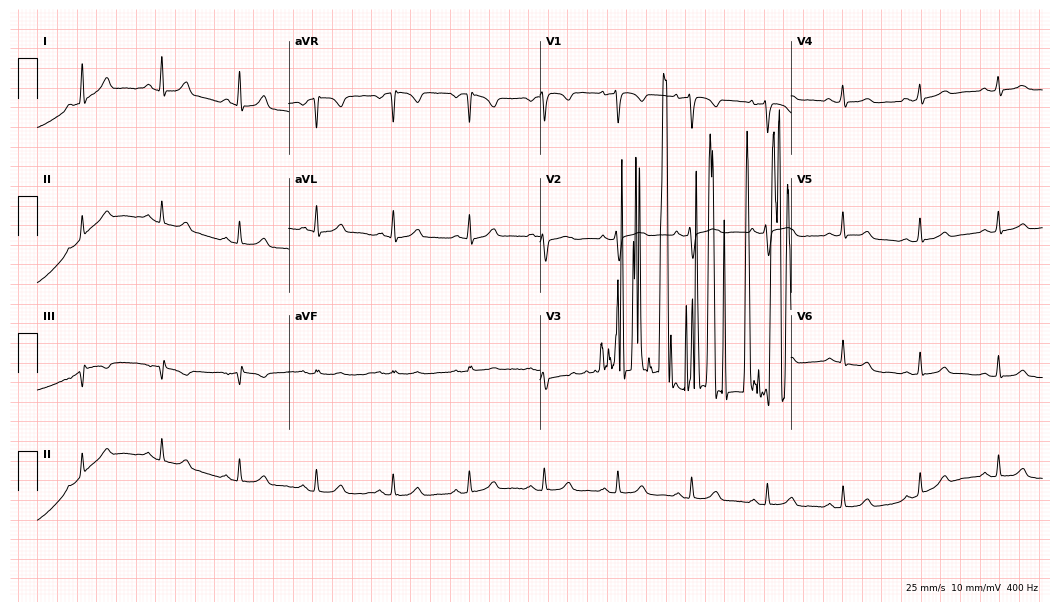
Resting 12-lead electrocardiogram (10.2-second recording at 400 Hz). Patient: a female, 51 years old. None of these six findings is recorded: first-degree AV block, right bundle branch block, left bundle branch block, sinus bradycardia, atrial fibrillation, sinus tachycardia.